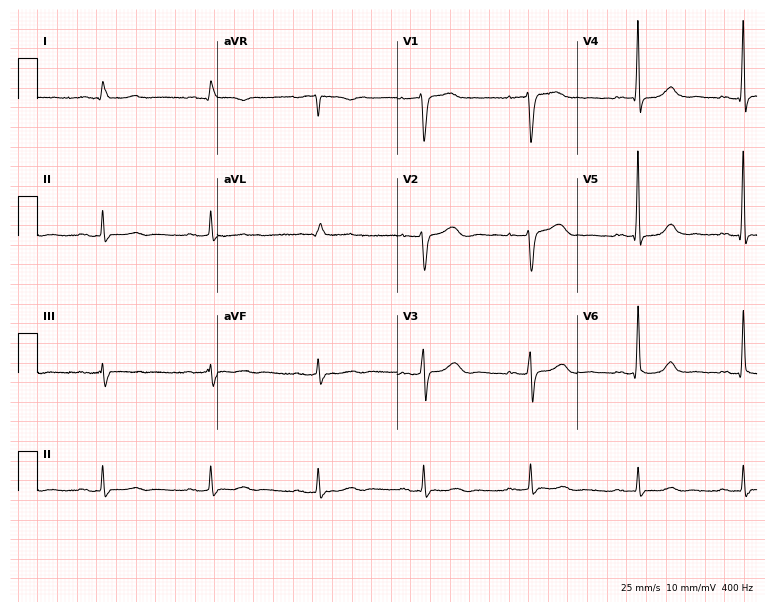
12-lead ECG from a 61-year-old man. No first-degree AV block, right bundle branch block (RBBB), left bundle branch block (LBBB), sinus bradycardia, atrial fibrillation (AF) or sinus tachycardia recorded for this tracing.